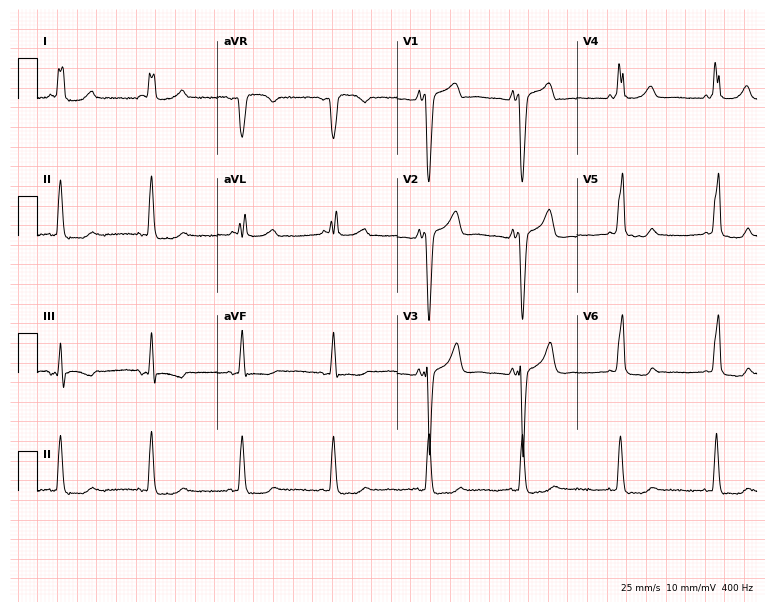
Standard 12-lead ECG recorded from a 48-year-old female. The tracing shows left bundle branch block (LBBB).